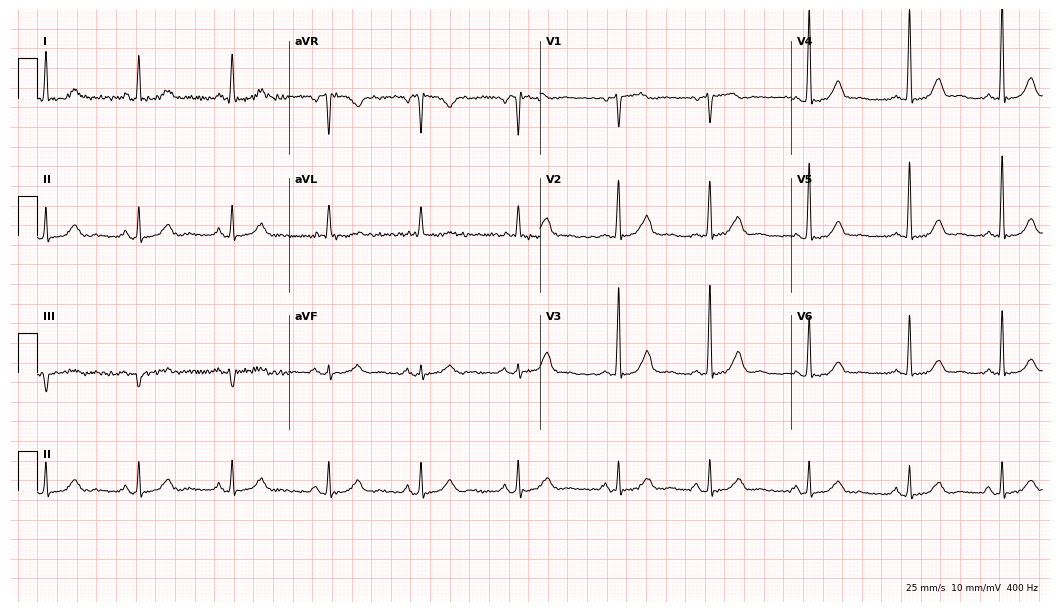
Standard 12-lead ECG recorded from a 65-year-old female patient. None of these six findings is recorded: first-degree AV block, right bundle branch block (RBBB), left bundle branch block (LBBB), sinus bradycardia, atrial fibrillation (AF), sinus tachycardia.